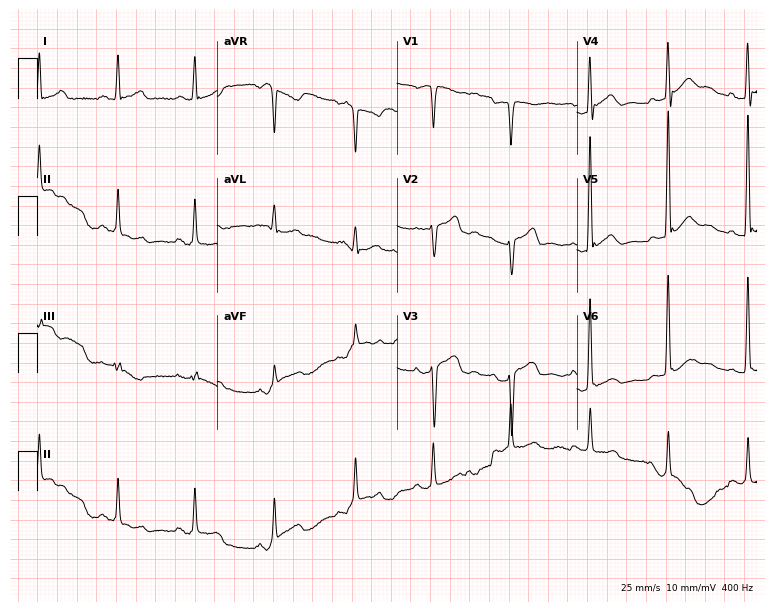
Electrocardiogram (7.3-second recording at 400 Hz), a 57-year-old man. Of the six screened findings (first-degree AV block, right bundle branch block (RBBB), left bundle branch block (LBBB), sinus bradycardia, atrial fibrillation (AF), sinus tachycardia), none is recorded.